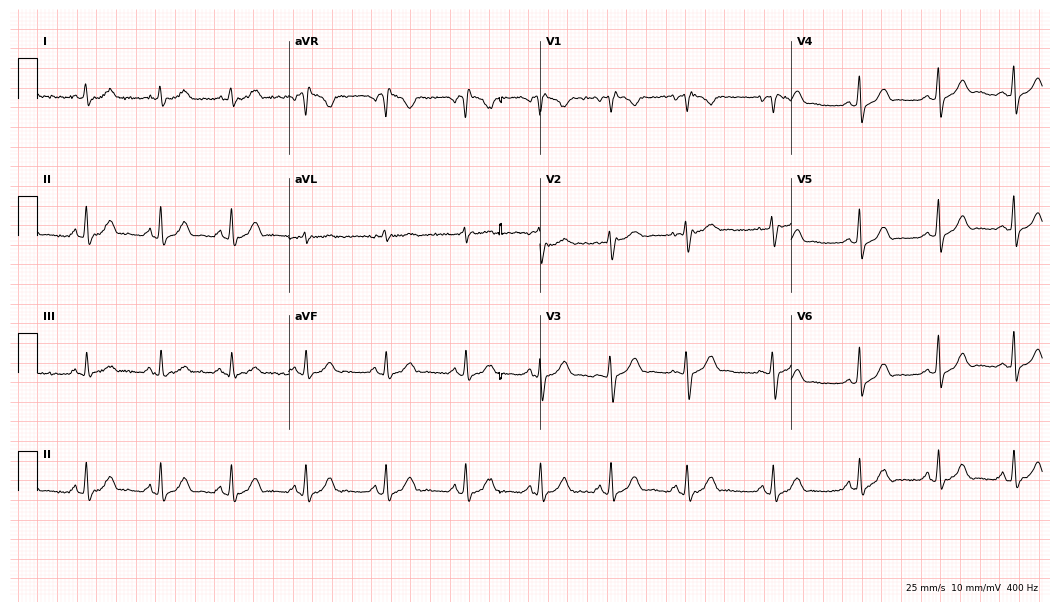
12-lead ECG from a 33-year-old female. Recorded interpretation: within normal limits.